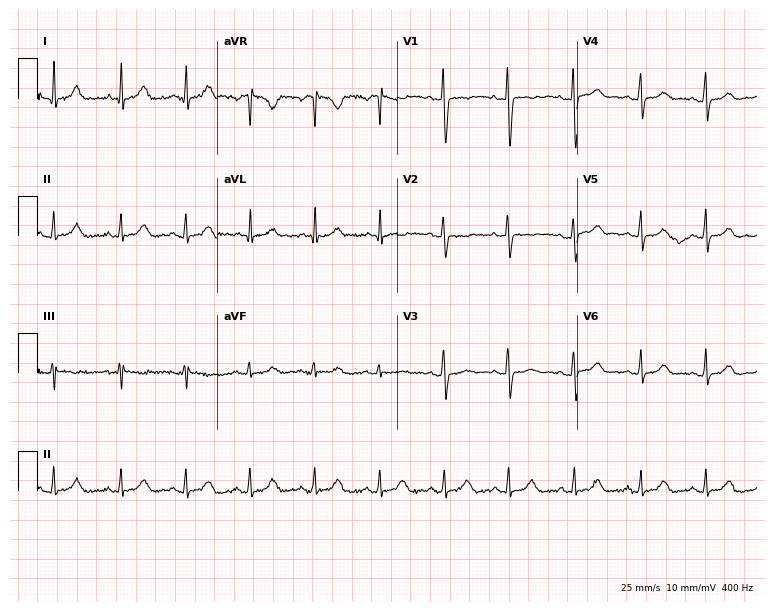
12-lead ECG from a 22-year-old woman. Labelled as a normal ECG.